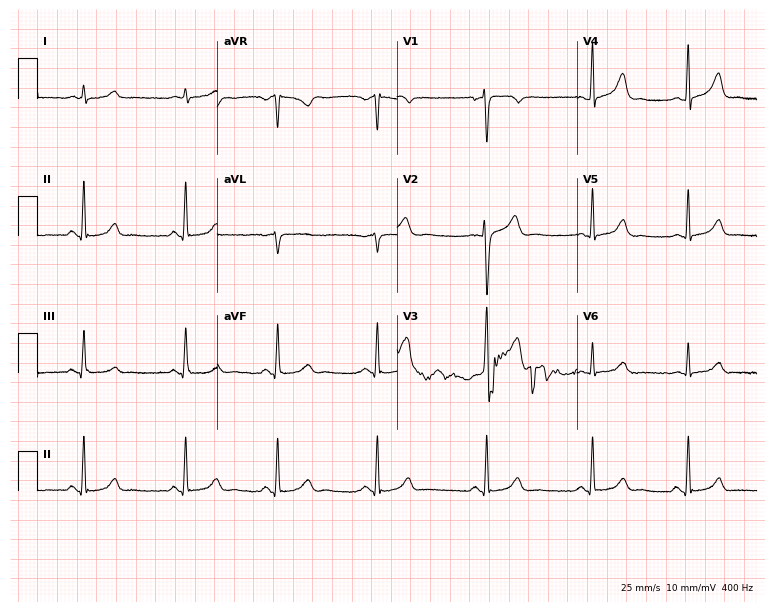
12-lead ECG from a male, 34 years old (7.3-second recording at 400 Hz). Recorded interpretation: within normal limits.